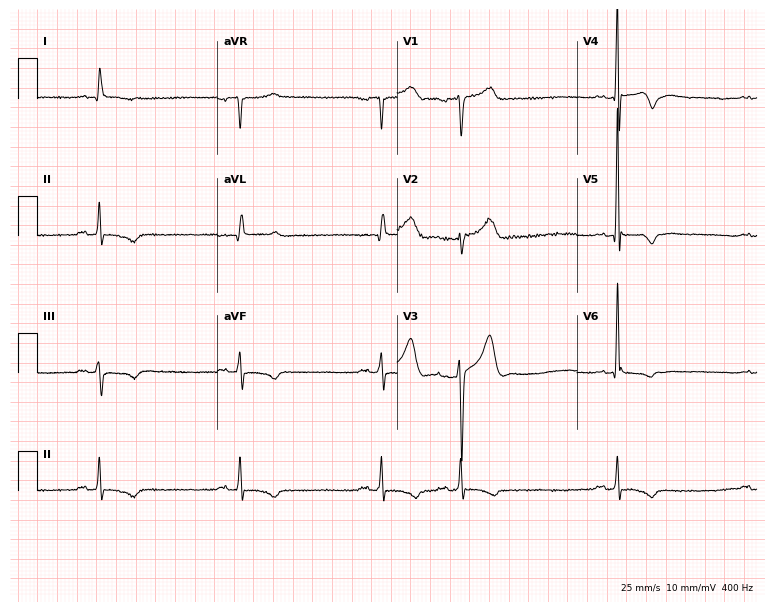
ECG (7.3-second recording at 400 Hz) — a 74-year-old male patient. Findings include right bundle branch block, sinus bradycardia (a sinus rate of 50 beats per minute or less).